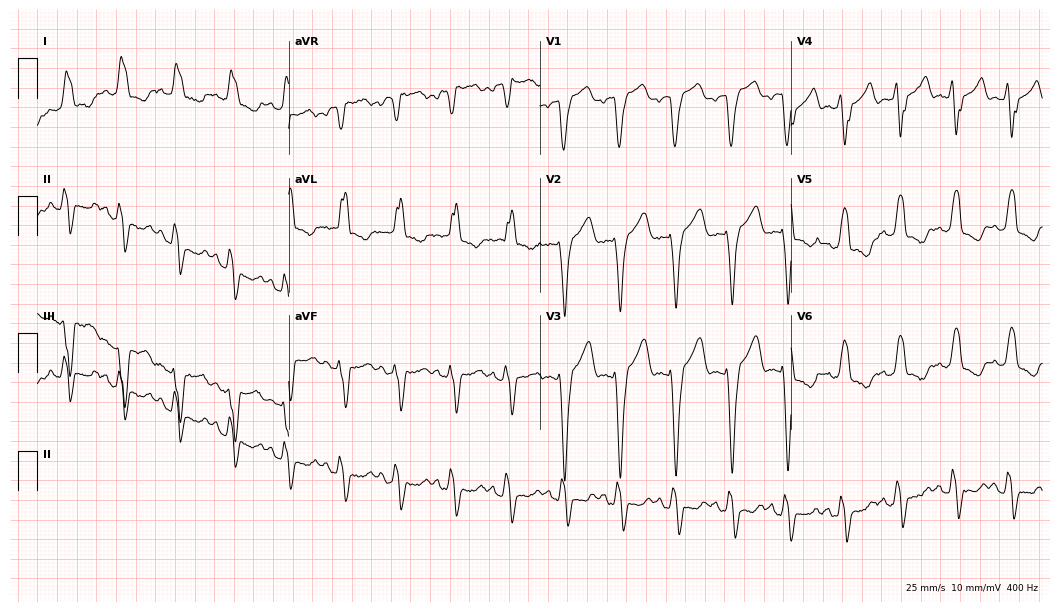
Electrocardiogram (10.2-second recording at 400 Hz), a 66-year-old female. Of the six screened findings (first-degree AV block, right bundle branch block, left bundle branch block, sinus bradycardia, atrial fibrillation, sinus tachycardia), none is recorded. Only these six findings were labelled.